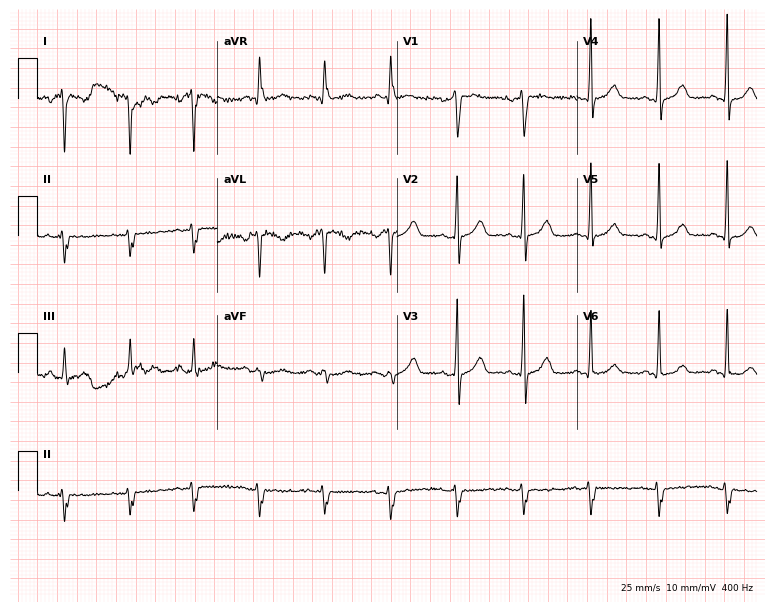
12-lead ECG from a female patient, 39 years old. No first-degree AV block, right bundle branch block, left bundle branch block, sinus bradycardia, atrial fibrillation or sinus tachycardia recorded for this tracing.